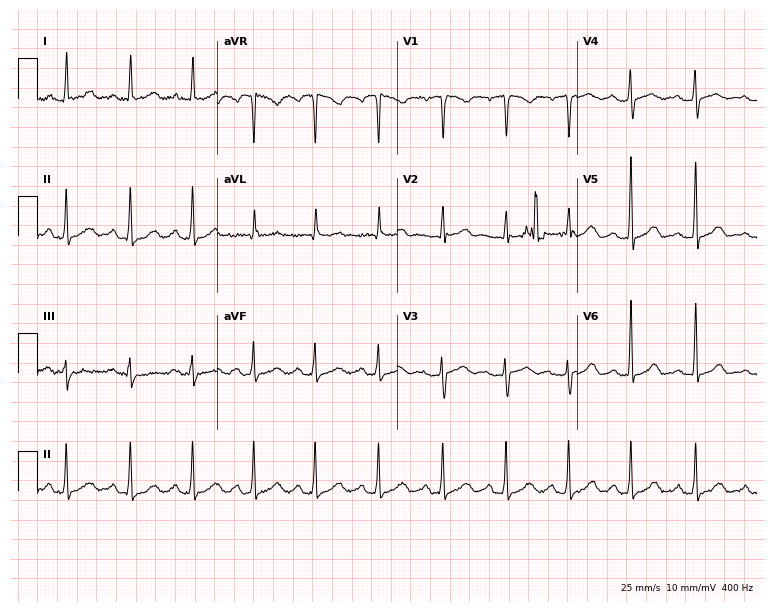
Resting 12-lead electrocardiogram (7.3-second recording at 400 Hz). Patient: a 51-year-old female. None of these six findings is recorded: first-degree AV block, right bundle branch block, left bundle branch block, sinus bradycardia, atrial fibrillation, sinus tachycardia.